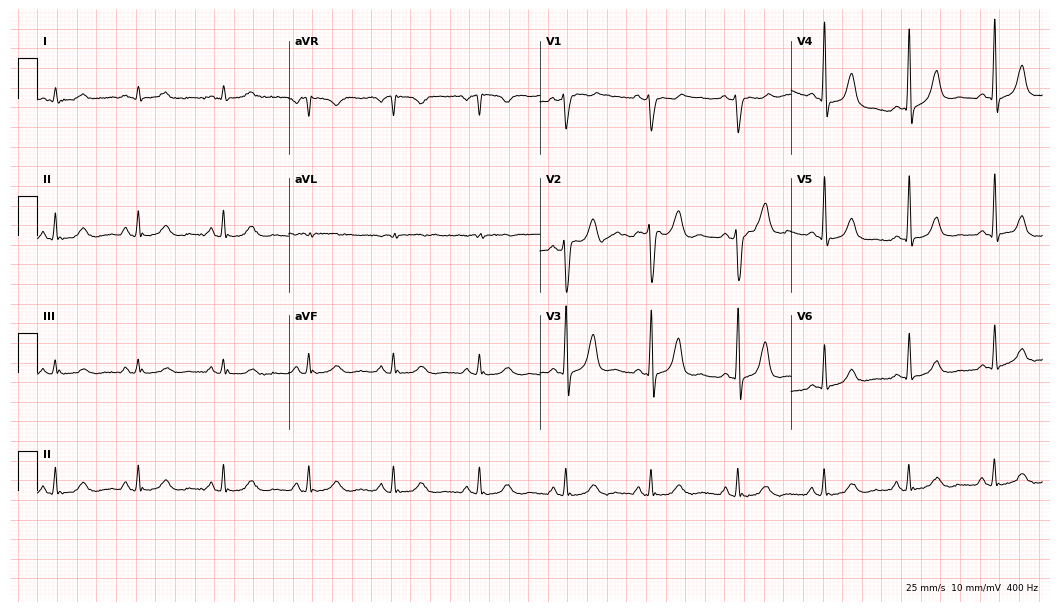
Electrocardiogram (10.2-second recording at 400 Hz), a 53-year-old man. Overall reading on record: normal ECG.